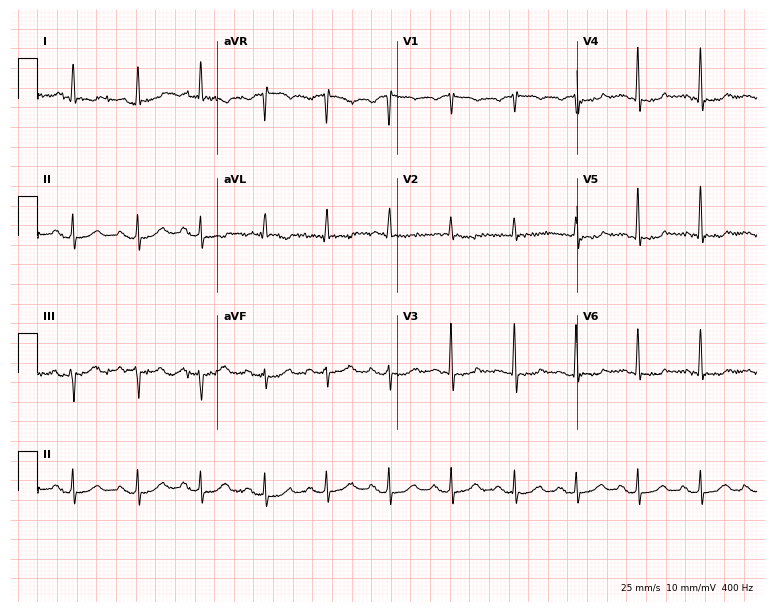
ECG — a female patient, 78 years old. Screened for six findings — first-degree AV block, right bundle branch block, left bundle branch block, sinus bradycardia, atrial fibrillation, sinus tachycardia — none is recorded.